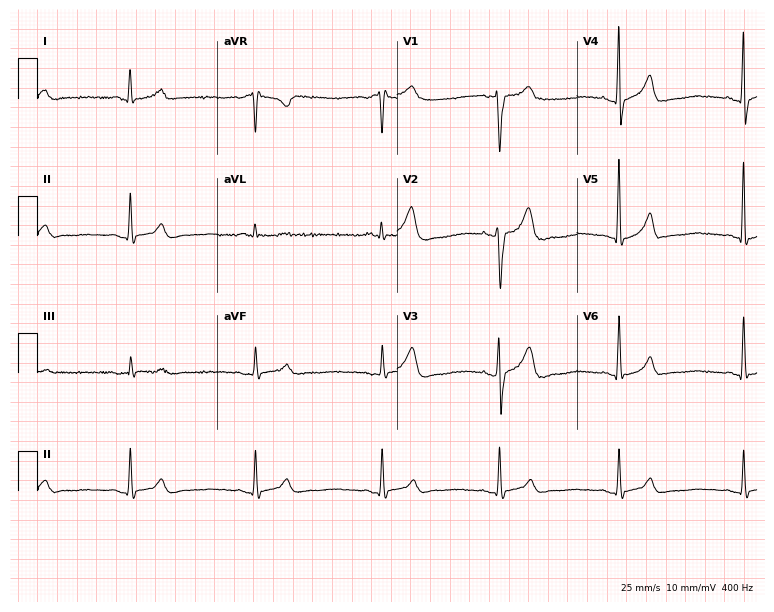
Electrocardiogram (7.3-second recording at 400 Hz), a 54-year-old man. Interpretation includes sinus bradycardia (a sinus rate of 50 beats per minute or less).